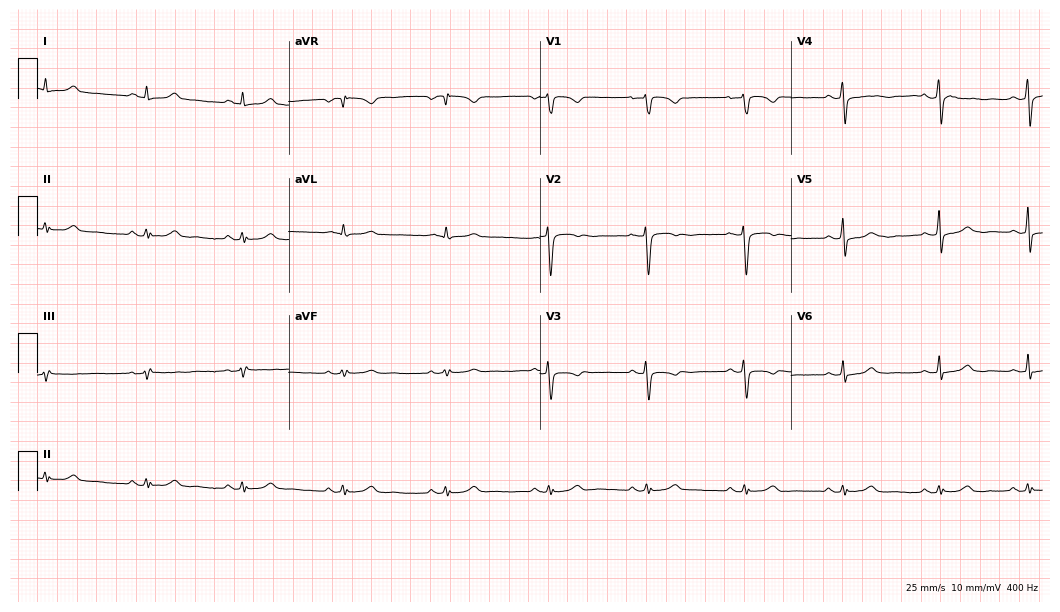
Standard 12-lead ECG recorded from a female patient, 45 years old. None of these six findings is recorded: first-degree AV block, right bundle branch block, left bundle branch block, sinus bradycardia, atrial fibrillation, sinus tachycardia.